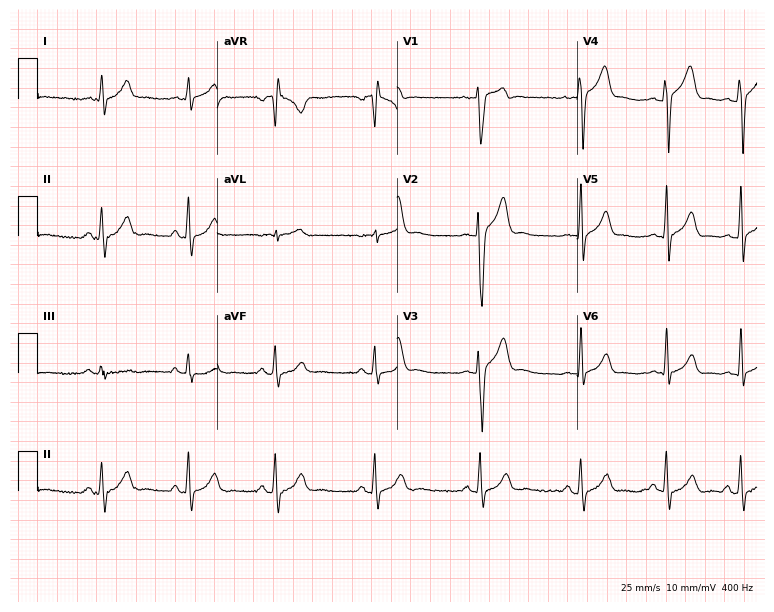
Resting 12-lead electrocardiogram (7.3-second recording at 400 Hz). Patient: a male, 24 years old. Read as a normal ECG.